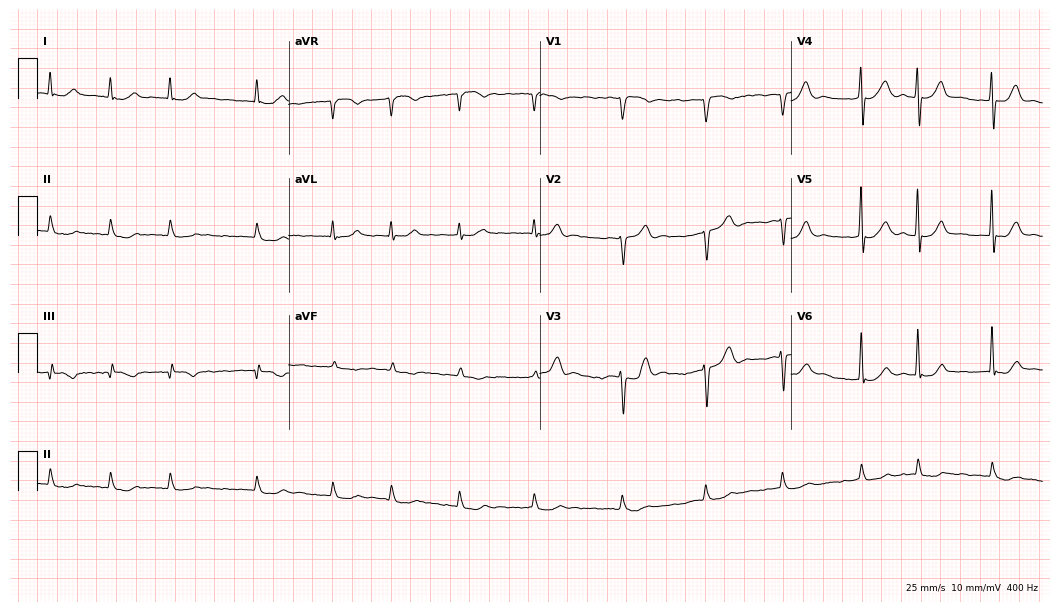
Resting 12-lead electrocardiogram (10.2-second recording at 400 Hz). Patient: an 84-year-old man. None of these six findings is recorded: first-degree AV block, right bundle branch block (RBBB), left bundle branch block (LBBB), sinus bradycardia, atrial fibrillation (AF), sinus tachycardia. Only these six findings were labelled.